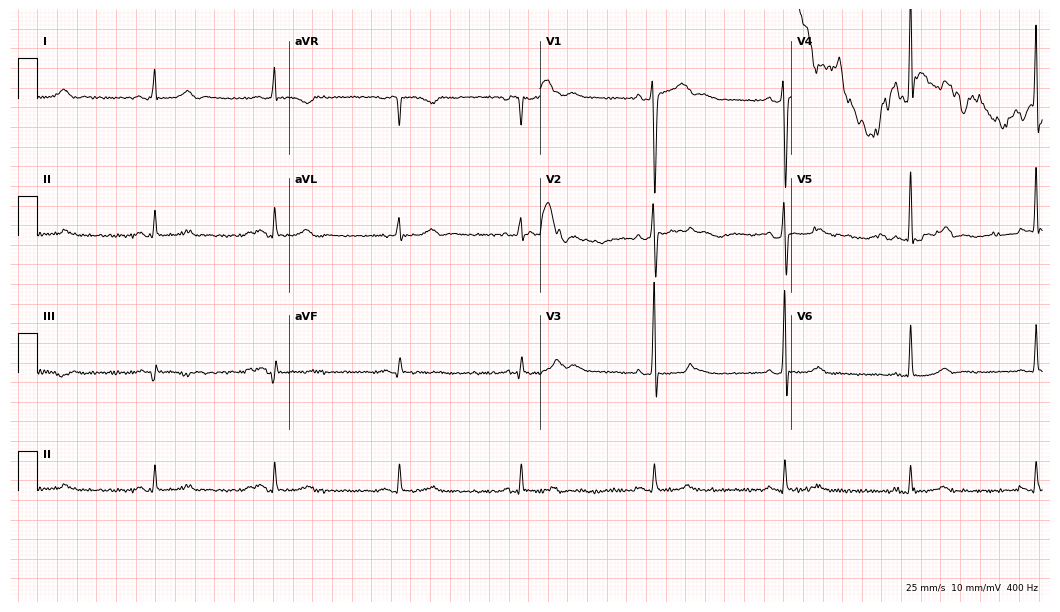
12-lead ECG (10.2-second recording at 400 Hz) from a 46-year-old man. Screened for six findings — first-degree AV block, right bundle branch block, left bundle branch block, sinus bradycardia, atrial fibrillation, sinus tachycardia — none is recorded.